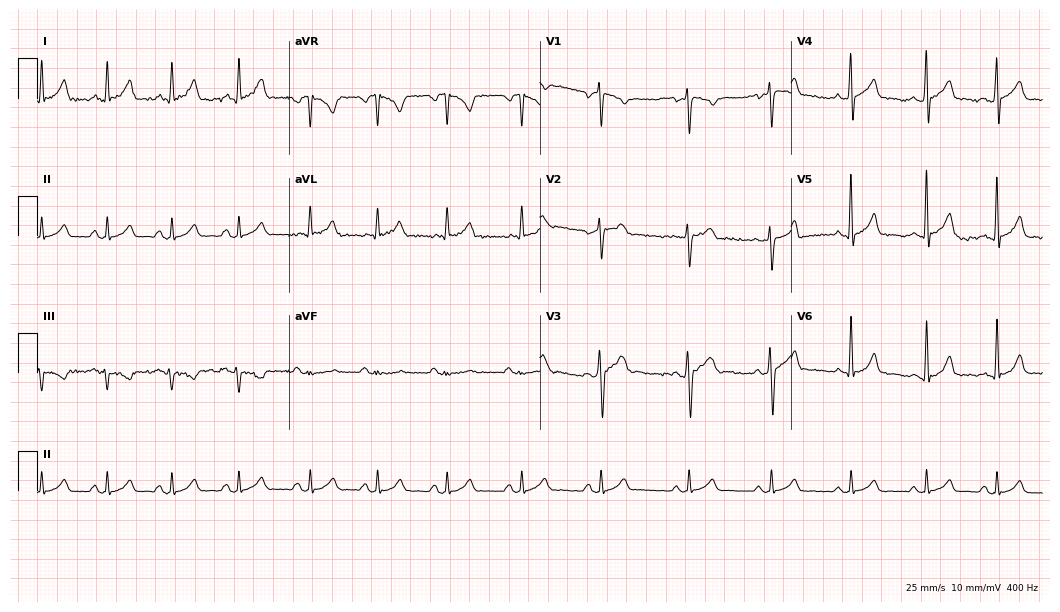
12-lead ECG from a male, 31 years old (10.2-second recording at 400 Hz). Recorded interpretation: within normal limits.